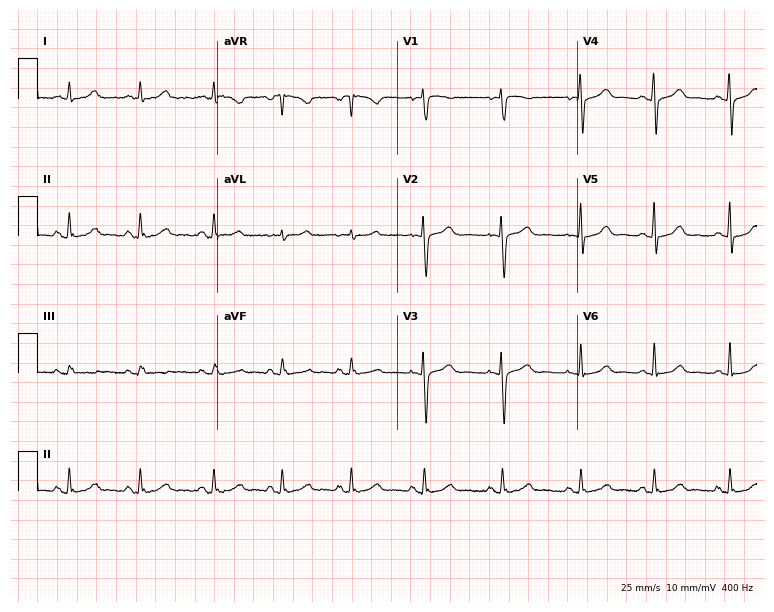
Electrocardiogram (7.3-second recording at 400 Hz), a female, 23 years old. Overall reading on record: normal ECG.